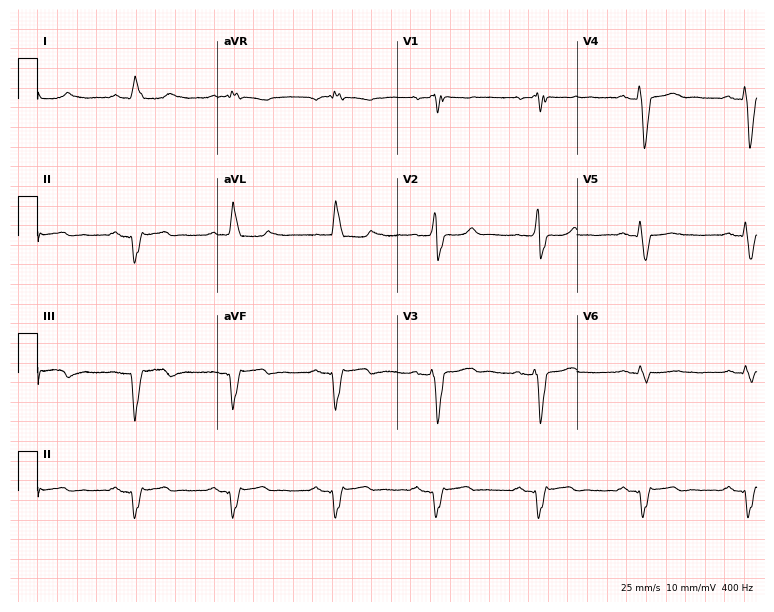
ECG — a 79-year-old male. Screened for six findings — first-degree AV block, right bundle branch block, left bundle branch block, sinus bradycardia, atrial fibrillation, sinus tachycardia — none is recorded.